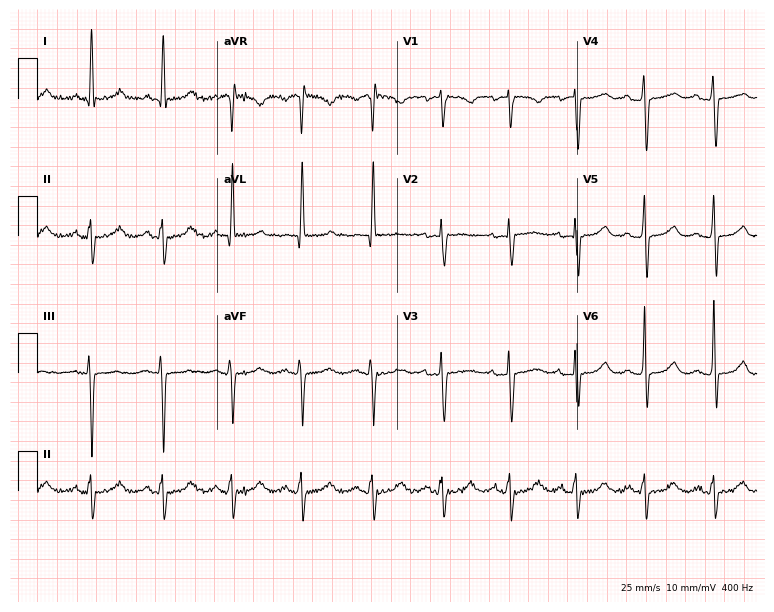
12-lead ECG from a 55-year-old woman (7.3-second recording at 400 Hz). No first-degree AV block, right bundle branch block, left bundle branch block, sinus bradycardia, atrial fibrillation or sinus tachycardia recorded for this tracing.